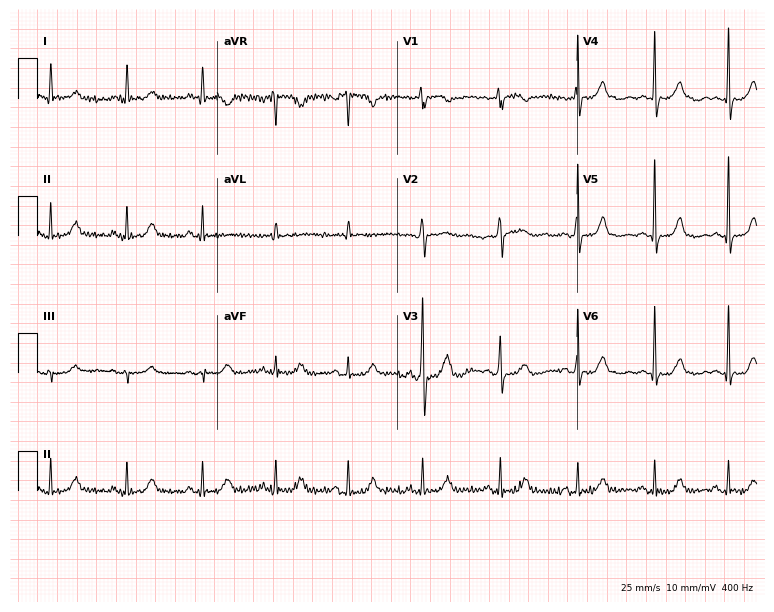
12-lead ECG from a 69-year-old female patient (7.3-second recording at 400 Hz). Recorded interpretation: within normal limits.